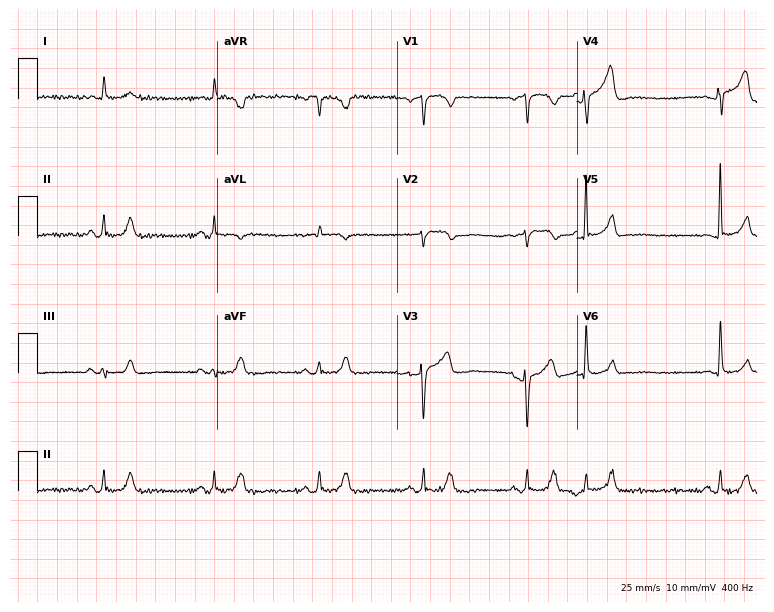
Standard 12-lead ECG recorded from a male patient, 77 years old. Read as a normal ECG.